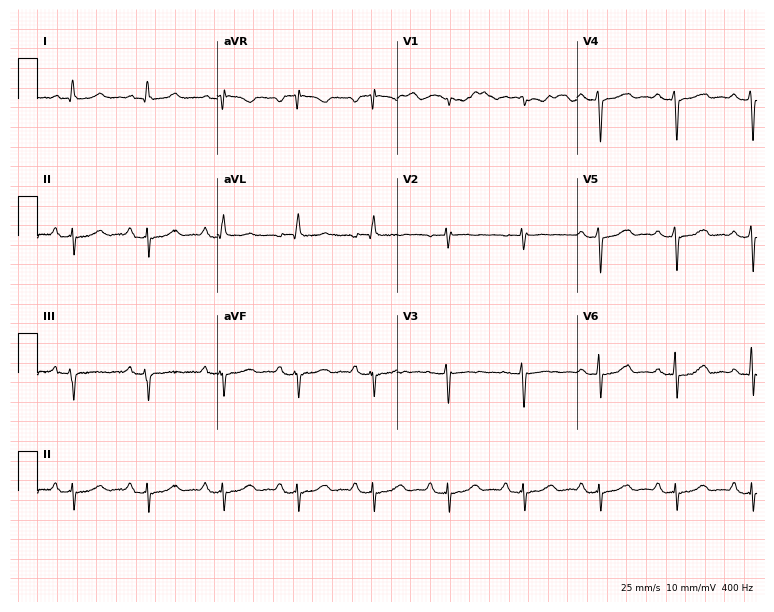
ECG — a female, 85 years old. Screened for six findings — first-degree AV block, right bundle branch block, left bundle branch block, sinus bradycardia, atrial fibrillation, sinus tachycardia — none is recorded.